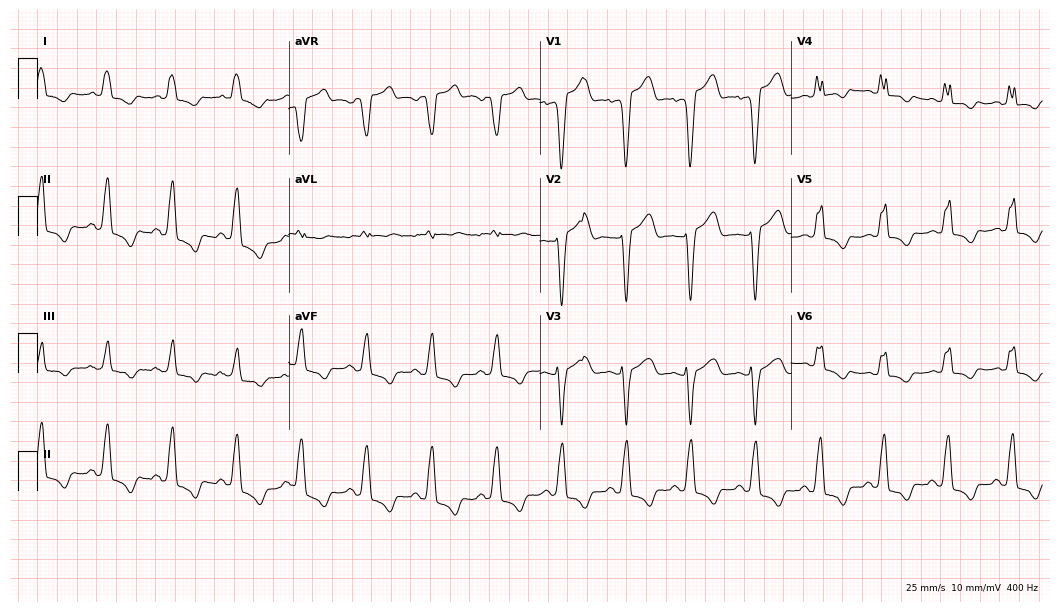
Resting 12-lead electrocardiogram (10.2-second recording at 400 Hz). Patient: a 78-year-old female. The tracing shows left bundle branch block.